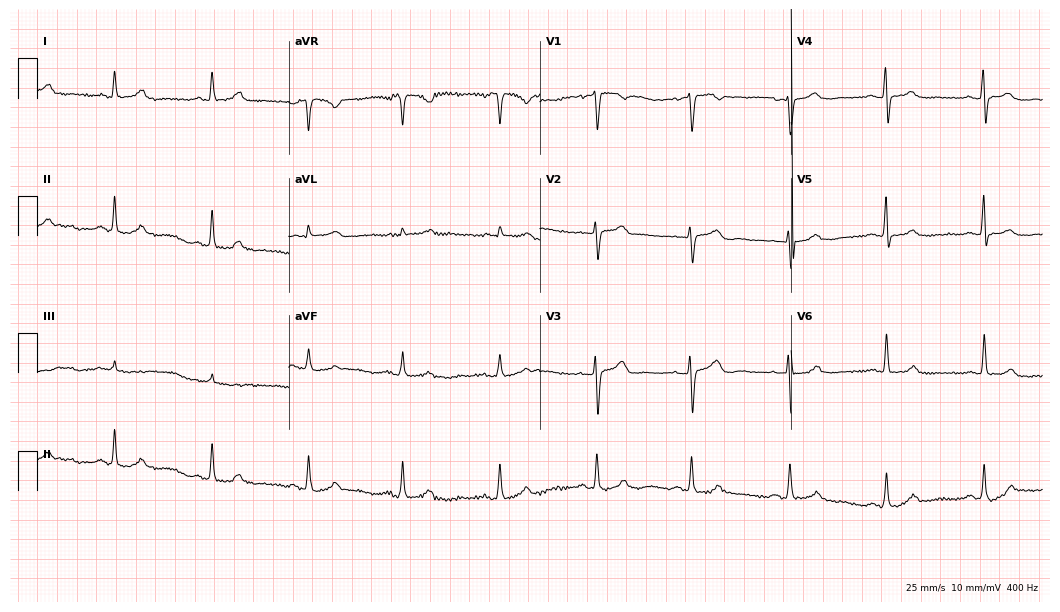
ECG — a 51-year-old female. Screened for six findings — first-degree AV block, right bundle branch block, left bundle branch block, sinus bradycardia, atrial fibrillation, sinus tachycardia — none is recorded. Findings outside these six are not listed.